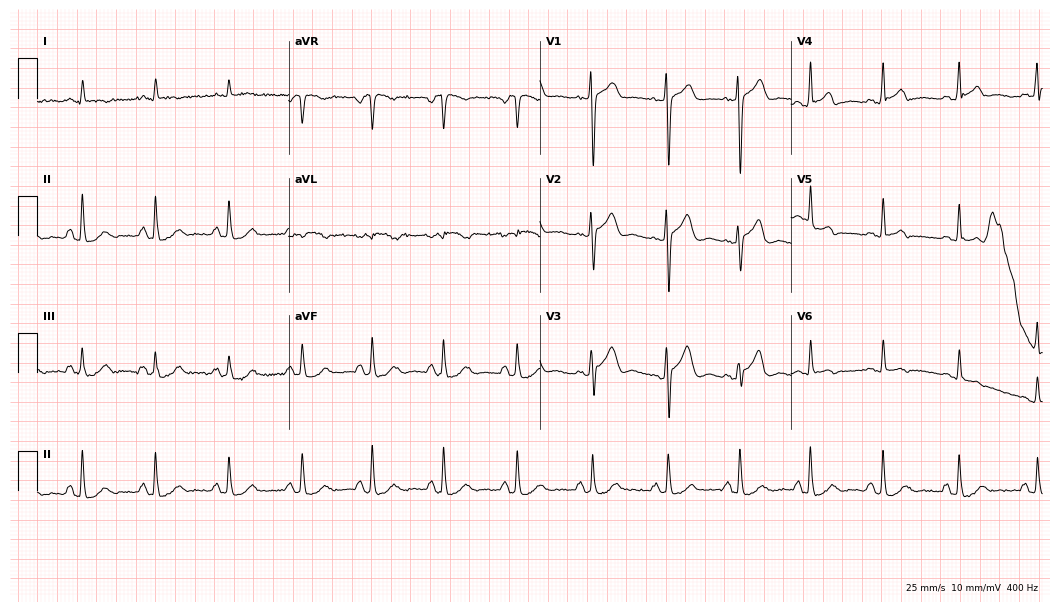
Standard 12-lead ECG recorded from a 71-year-old male (10.2-second recording at 400 Hz). None of these six findings is recorded: first-degree AV block, right bundle branch block, left bundle branch block, sinus bradycardia, atrial fibrillation, sinus tachycardia. Other findings, if any, are not listed.